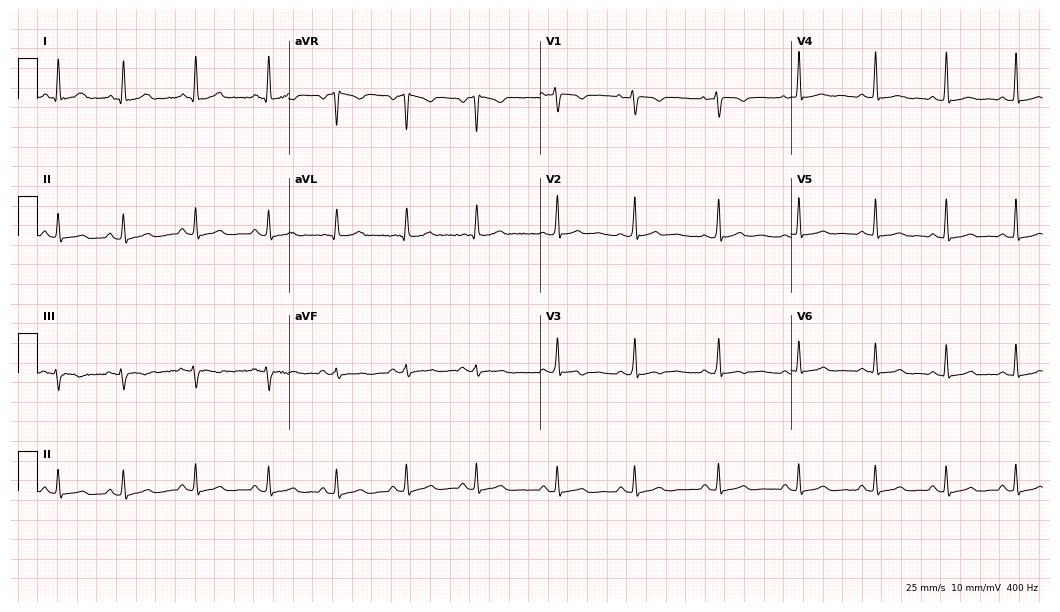
Electrocardiogram, a 27-year-old female patient. Of the six screened findings (first-degree AV block, right bundle branch block (RBBB), left bundle branch block (LBBB), sinus bradycardia, atrial fibrillation (AF), sinus tachycardia), none is recorded. Findings outside these six are not listed.